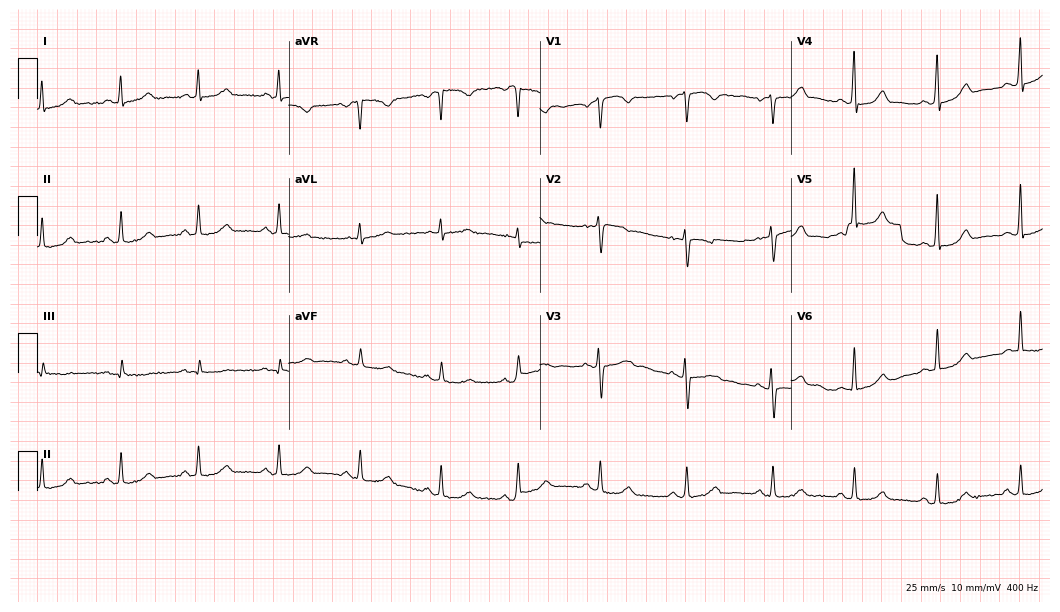
12-lead ECG from a female patient, 48 years old. Labelled as a normal ECG.